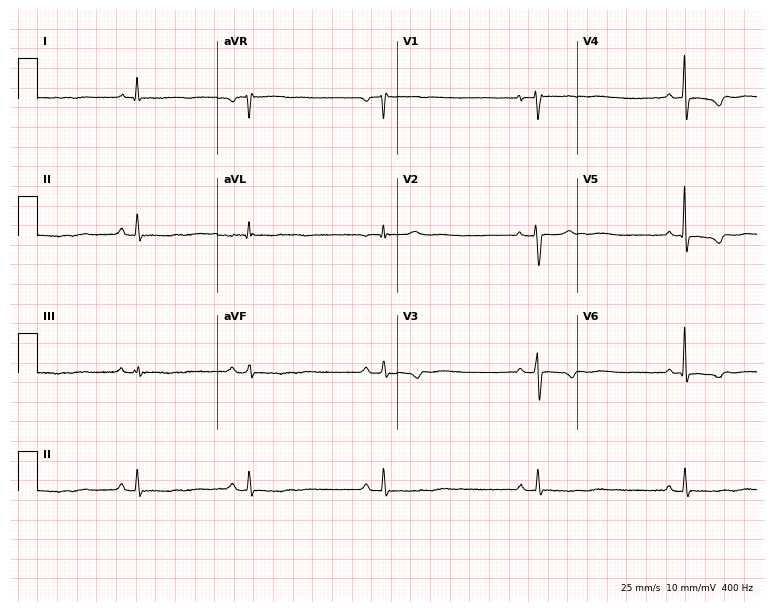
12-lead ECG from a 59-year-old female. Shows sinus bradycardia (a sinus rate of 50 beats per minute or less).